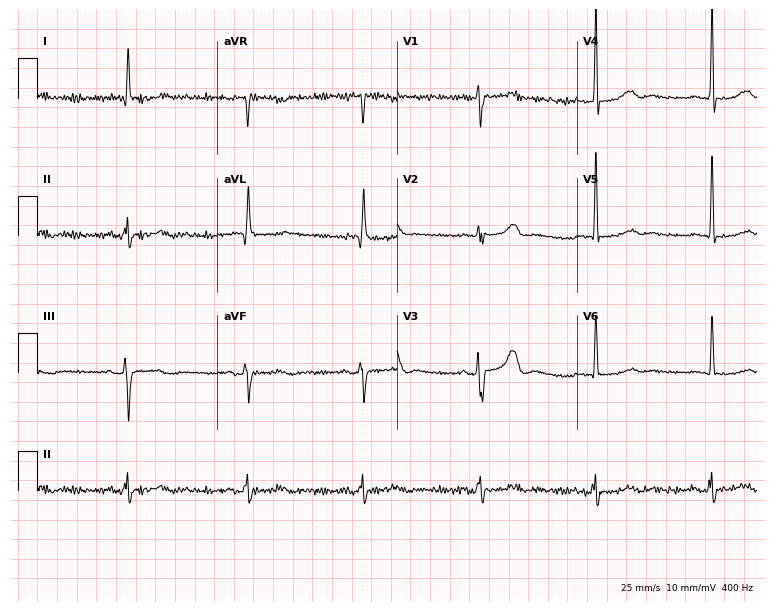
Standard 12-lead ECG recorded from a female, 72 years old. Read as a normal ECG.